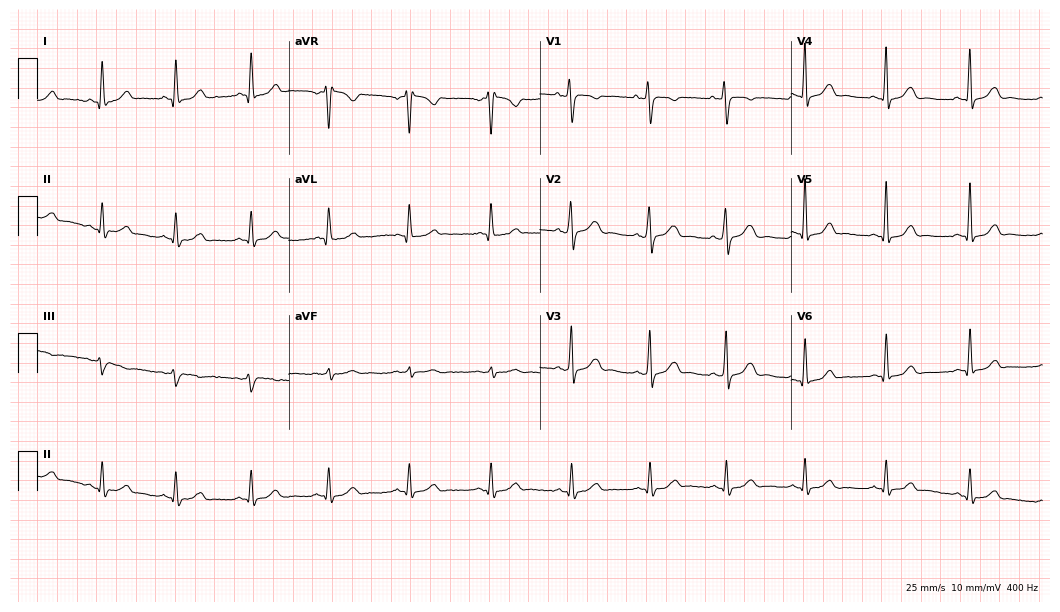
ECG (10.2-second recording at 400 Hz) — a female, 26 years old. Labelled as a normal ECG.